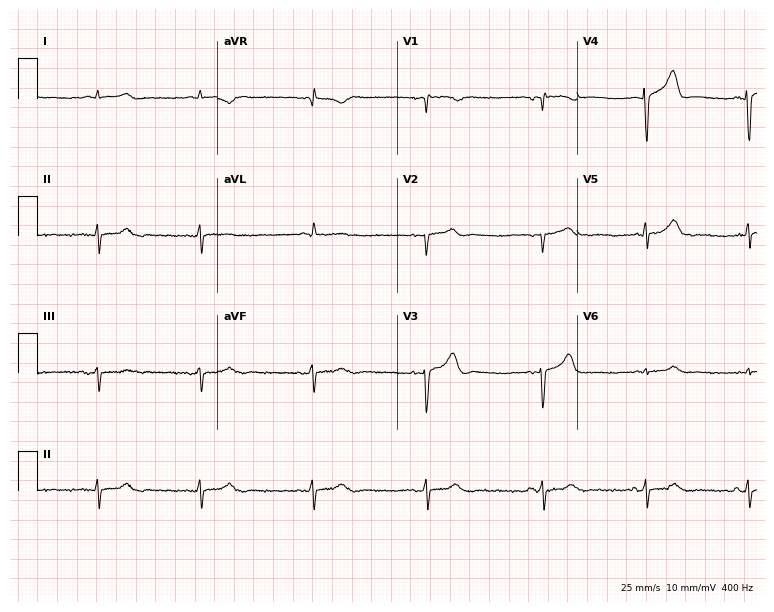
12-lead ECG from a 74-year-old male. Screened for six findings — first-degree AV block, right bundle branch block, left bundle branch block, sinus bradycardia, atrial fibrillation, sinus tachycardia — none is recorded. Other findings, if any, are not listed.